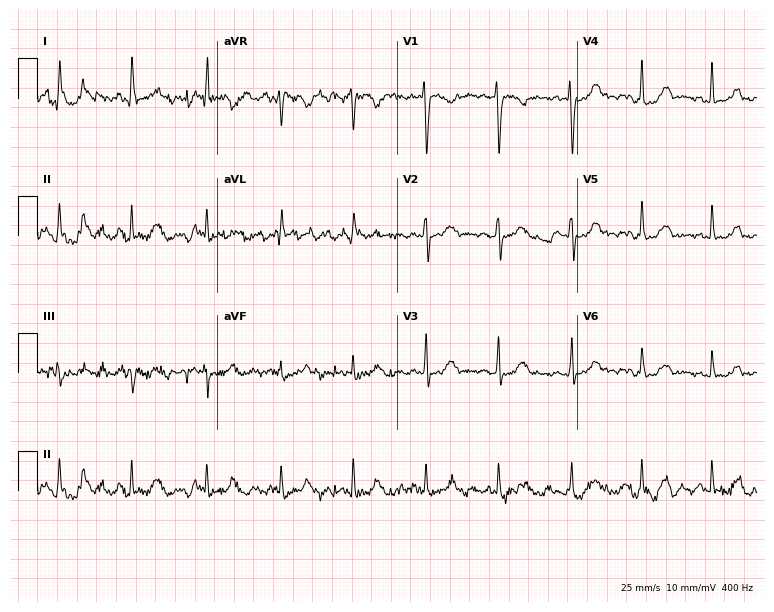
12-lead ECG from a 42-year-old female (7.3-second recording at 400 Hz). No first-degree AV block, right bundle branch block, left bundle branch block, sinus bradycardia, atrial fibrillation or sinus tachycardia recorded for this tracing. Findings outside these six are not listed.